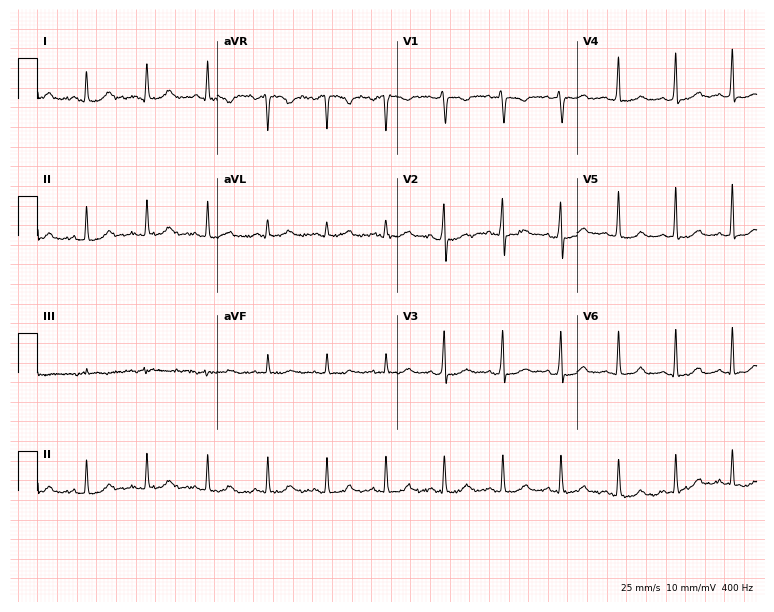
12-lead ECG from a 32-year-old female. No first-degree AV block, right bundle branch block, left bundle branch block, sinus bradycardia, atrial fibrillation or sinus tachycardia recorded for this tracing. Only these six findings were labelled.